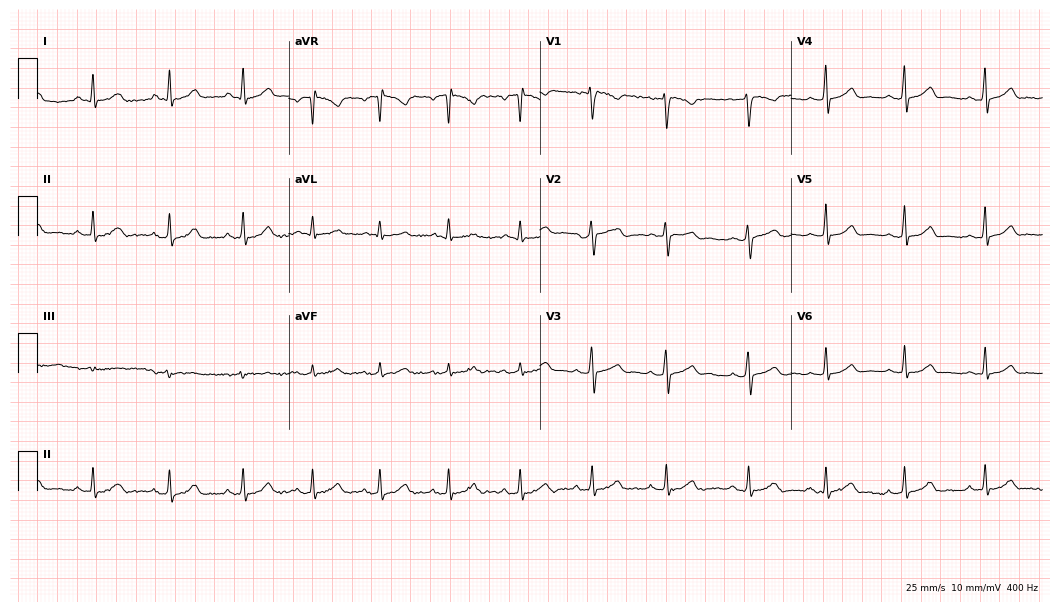
12-lead ECG from a female patient, 20 years old. Labelled as a normal ECG.